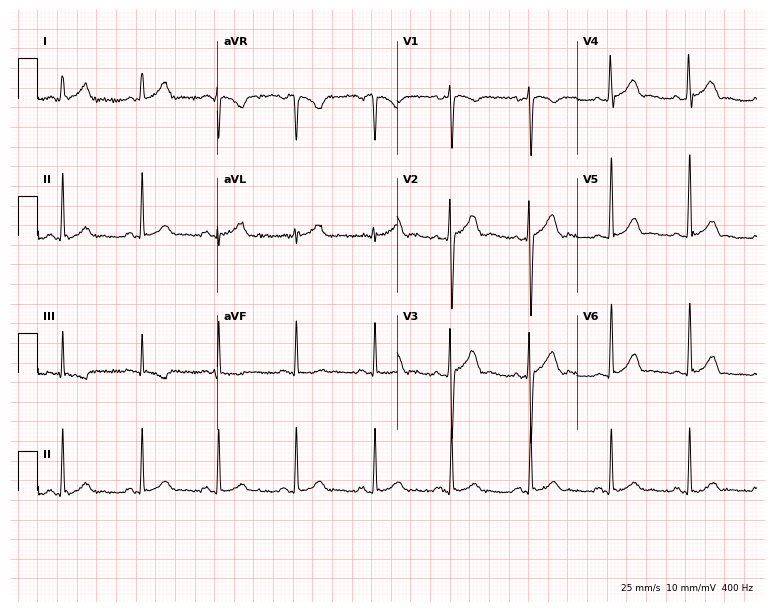
Standard 12-lead ECG recorded from a man, 25 years old. Read as a normal ECG.